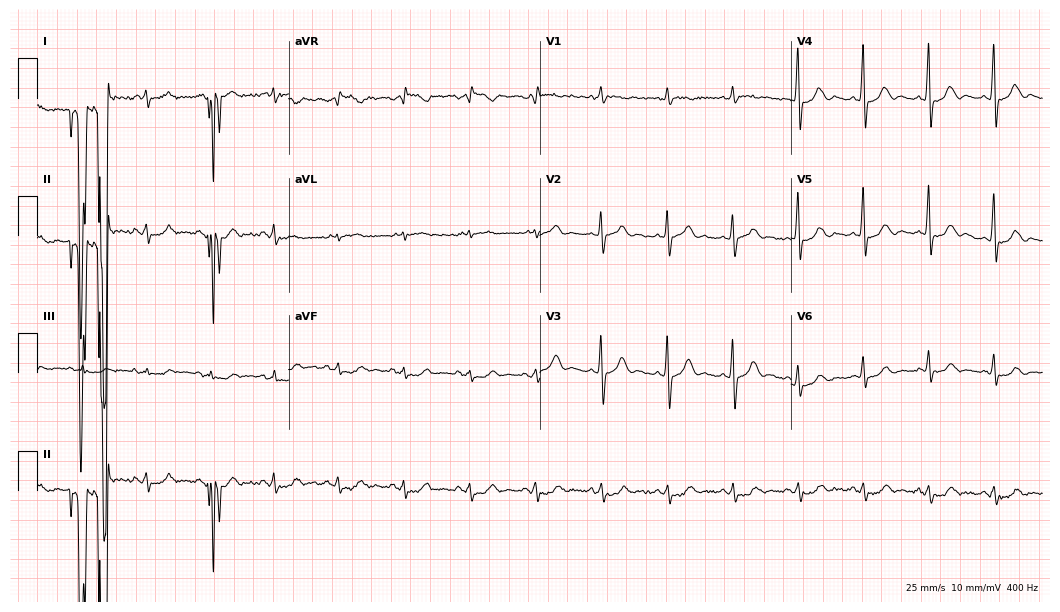
12-lead ECG (10.2-second recording at 400 Hz) from a 55-year-old male patient. Screened for six findings — first-degree AV block, right bundle branch block, left bundle branch block, sinus bradycardia, atrial fibrillation, sinus tachycardia — none is recorded.